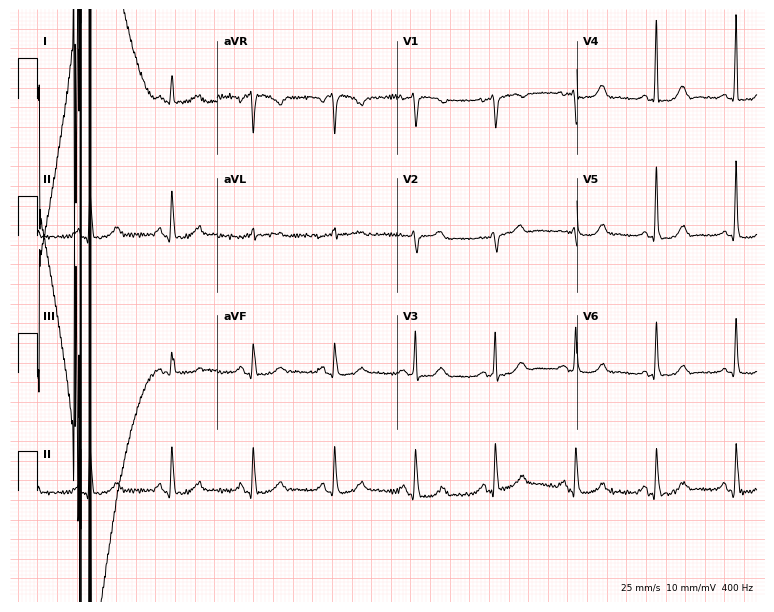
ECG — a 64-year-old female patient. Labelled as a normal ECG.